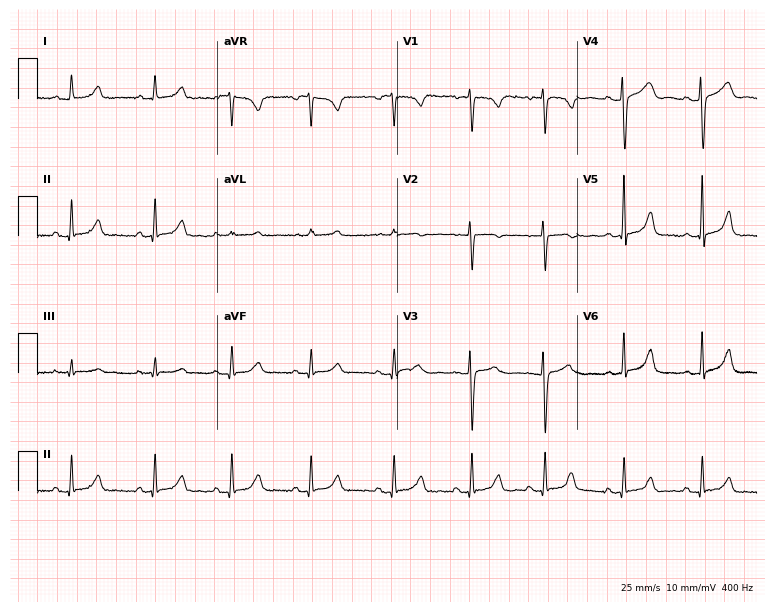
Resting 12-lead electrocardiogram. Patient: a 32-year-old female. None of these six findings is recorded: first-degree AV block, right bundle branch block, left bundle branch block, sinus bradycardia, atrial fibrillation, sinus tachycardia.